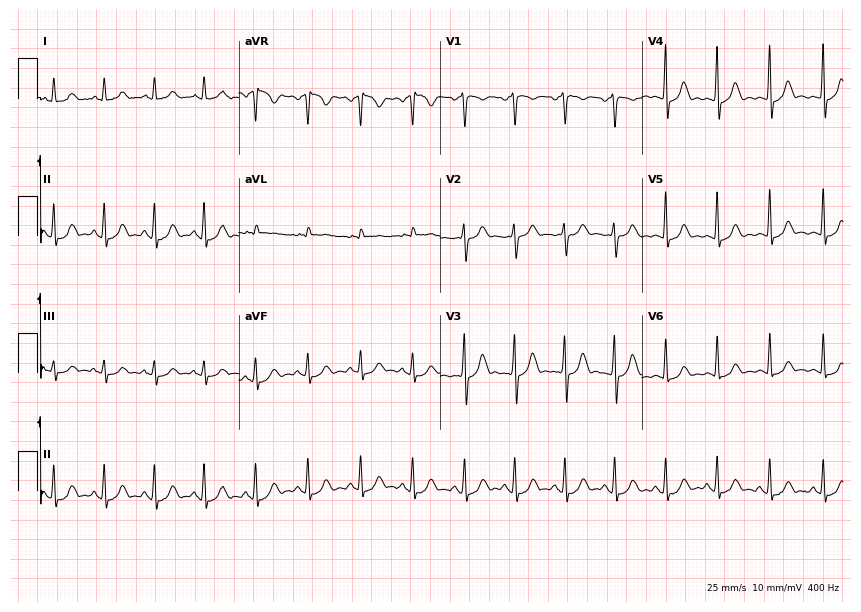
12-lead ECG from a female, 40 years old. Shows sinus tachycardia (a sinus rate of 100 beats per minute or more).